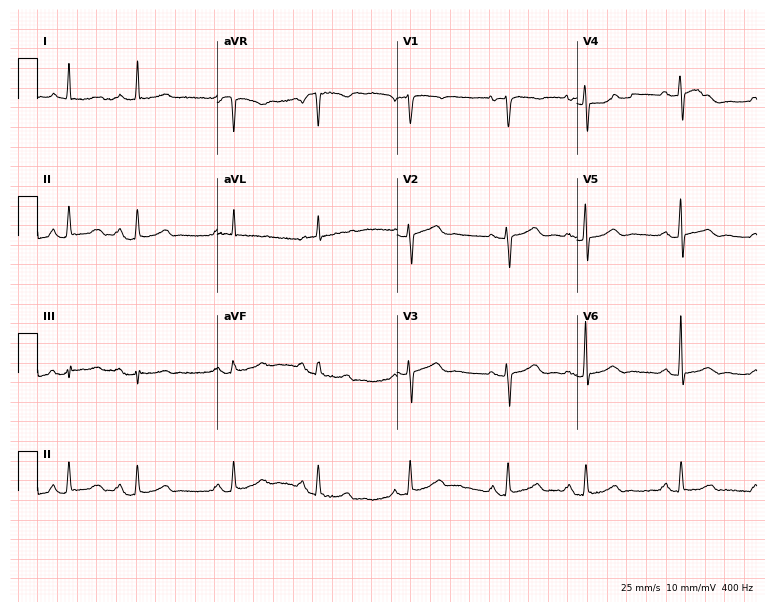
12-lead ECG (7.3-second recording at 400 Hz) from a female, 76 years old. Labelled as a normal ECG.